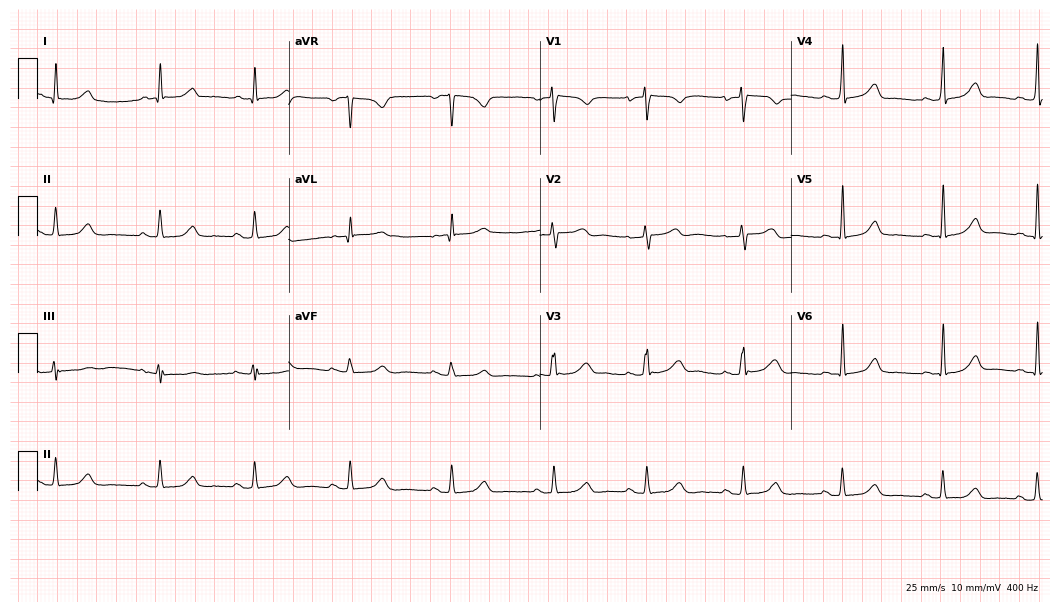
Standard 12-lead ECG recorded from a female patient, 38 years old (10.2-second recording at 400 Hz). Read as a normal ECG.